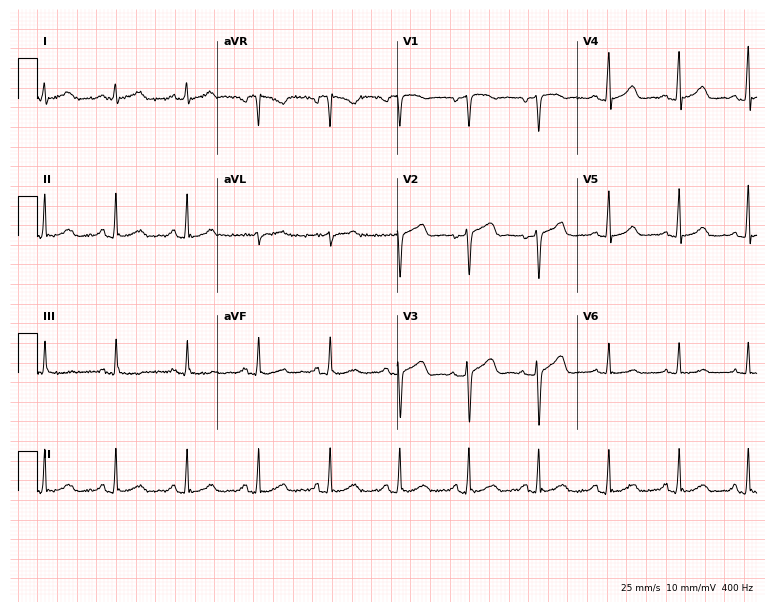
ECG — a woman, 57 years old. Screened for six findings — first-degree AV block, right bundle branch block, left bundle branch block, sinus bradycardia, atrial fibrillation, sinus tachycardia — none is recorded.